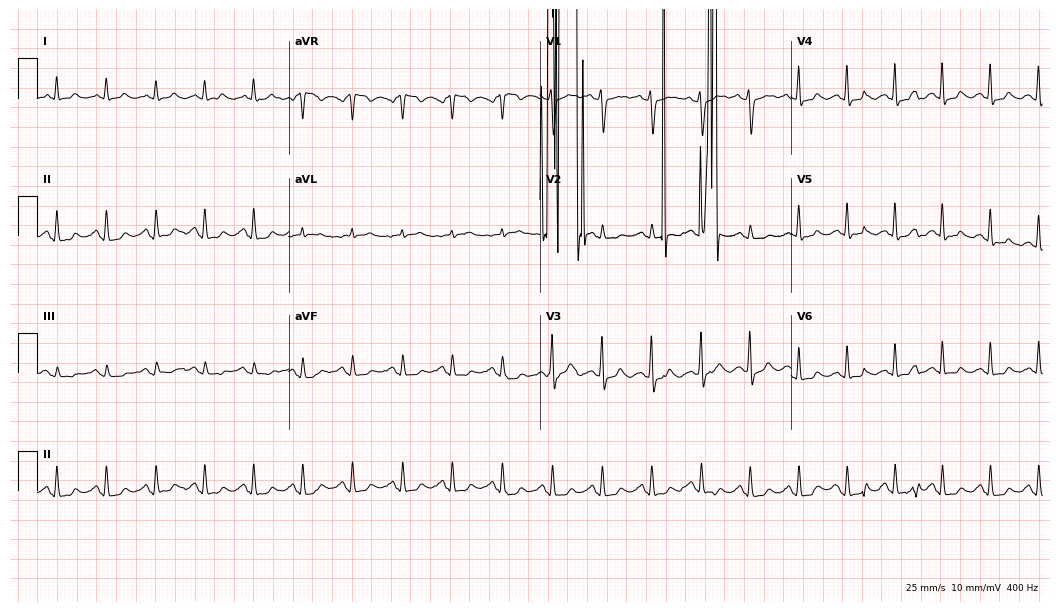
12-lead ECG (10.2-second recording at 400 Hz) from a 45-year-old woman. Findings include atrial fibrillation.